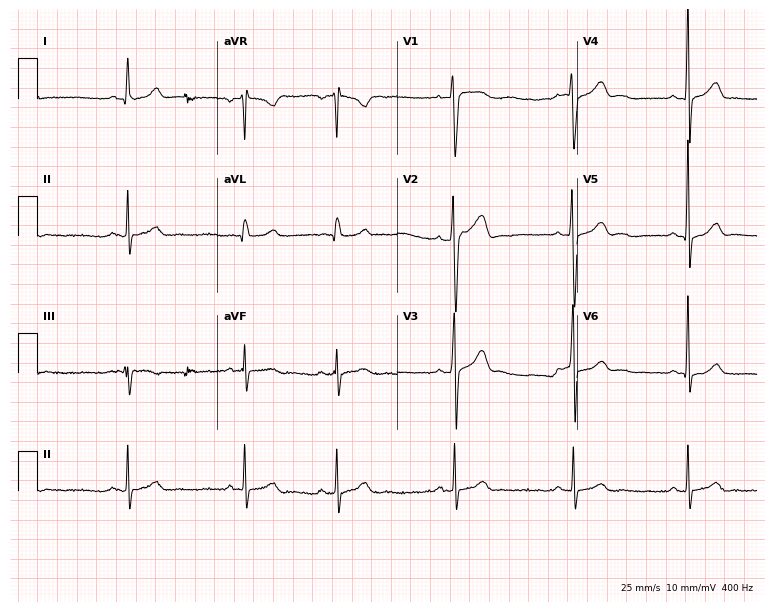
Resting 12-lead electrocardiogram (7.3-second recording at 400 Hz). Patient: a male, 36 years old. Read as a normal ECG.